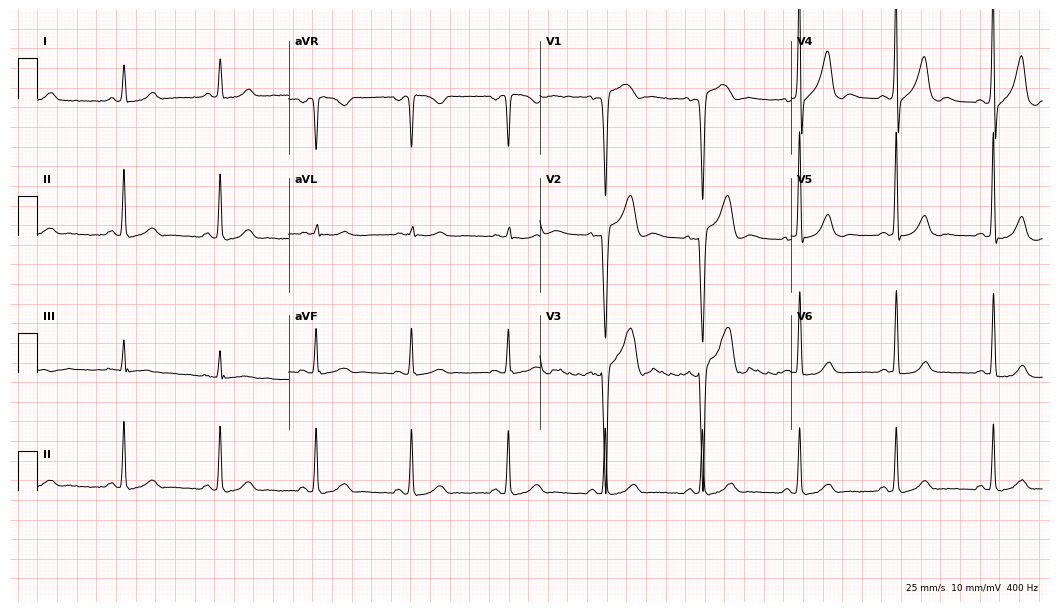
Electrocardiogram (10.2-second recording at 400 Hz), a 46-year-old man. Of the six screened findings (first-degree AV block, right bundle branch block, left bundle branch block, sinus bradycardia, atrial fibrillation, sinus tachycardia), none is recorded.